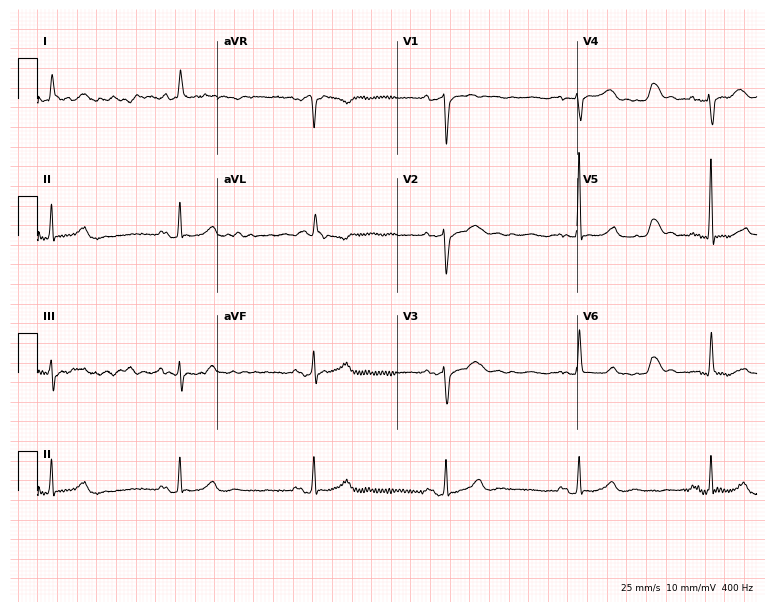
Resting 12-lead electrocardiogram (7.3-second recording at 400 Hz). Patient: a woman, 79 years old. The tracing shows right bundle branch block, sinus bradycardia (a sinus rate of 50 beats per minute or less).